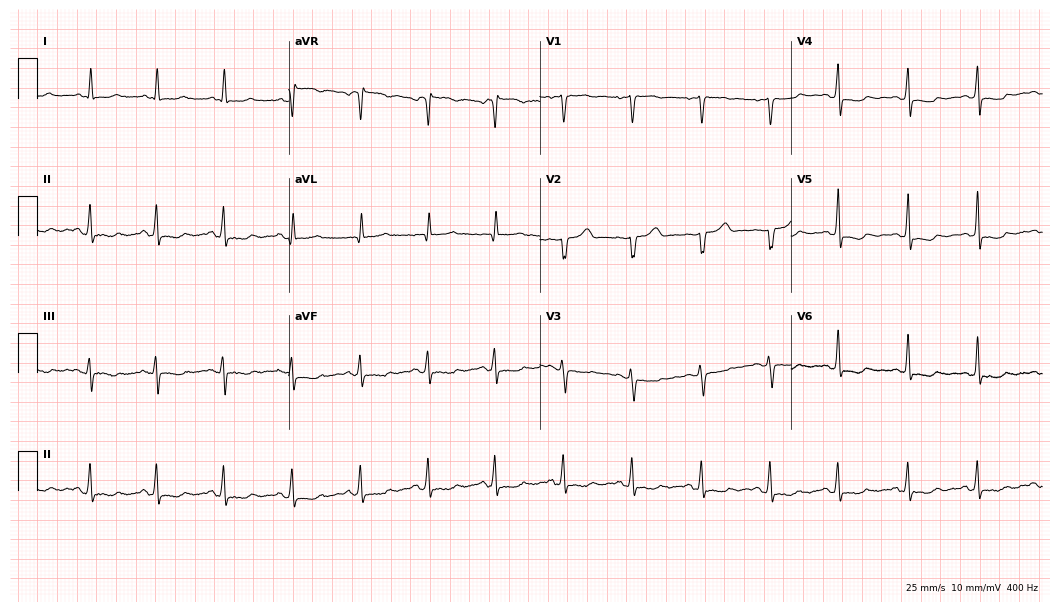
ECG (10.2-second recording at 400 Hz) — a 56-year-old woman. Screened for six findings — first-degree AV block, right bundle branch block (RBBB), left bundle branch block (LBBB), sinus bradycardia, atrial fibrillation (AF), sinus tachycardia — none is recorded.